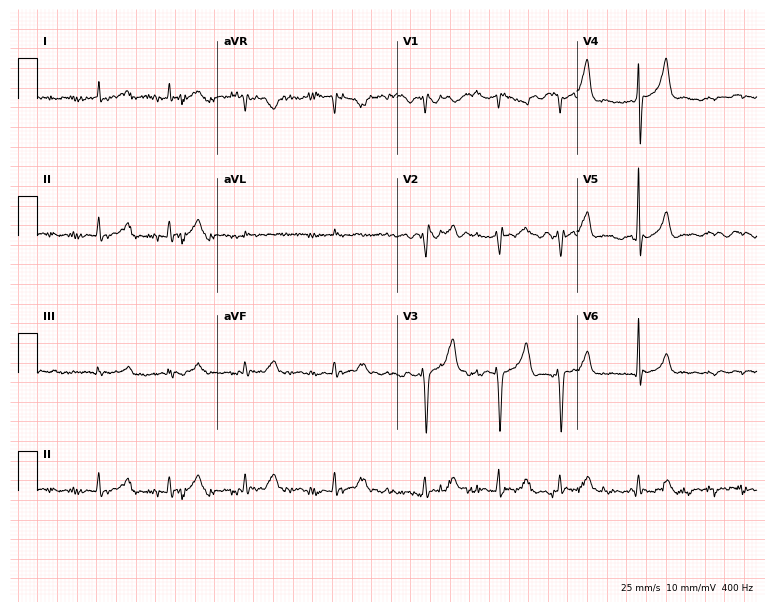
12-lead ECG from a 76-year-old male patient. No first-degree AV block, right bundle branch block, left bundle branch block, sinus bradycardia, atrial fibrillation or sinus tachycardia recorded for this tracing. Only these six findings were labelled.